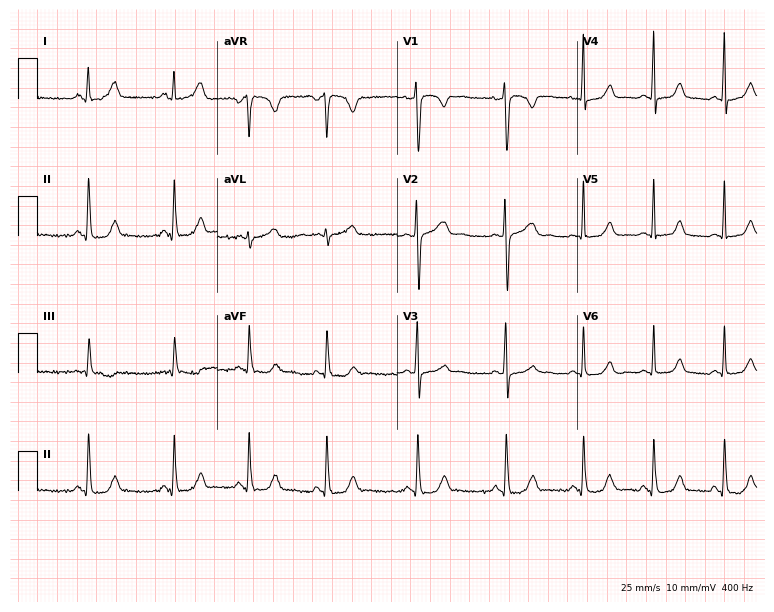
12-lead ECG from a 21-year-old female. Labelled as a normal ECG.